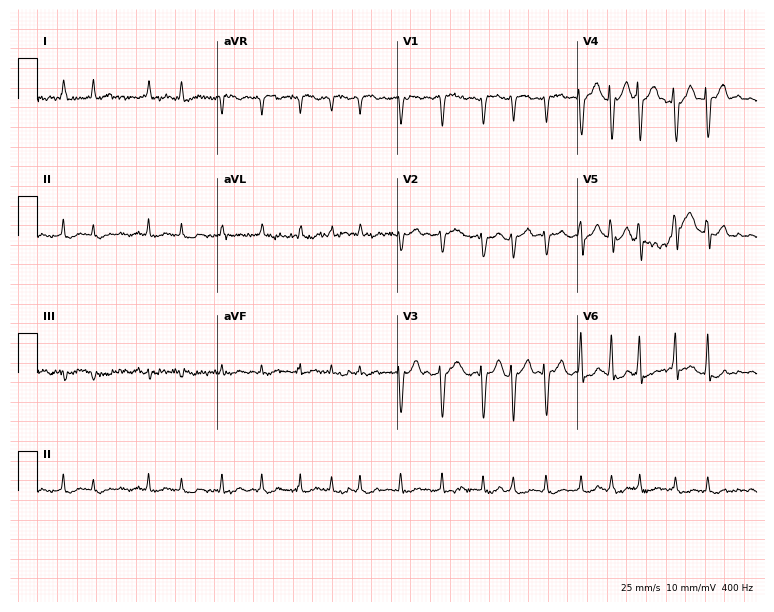
Resting 12-lead electrocardiogram (7.3-second recording at 400 Hz). Patient: an 82-year-old male. The tracing shows atrial fibrillation.